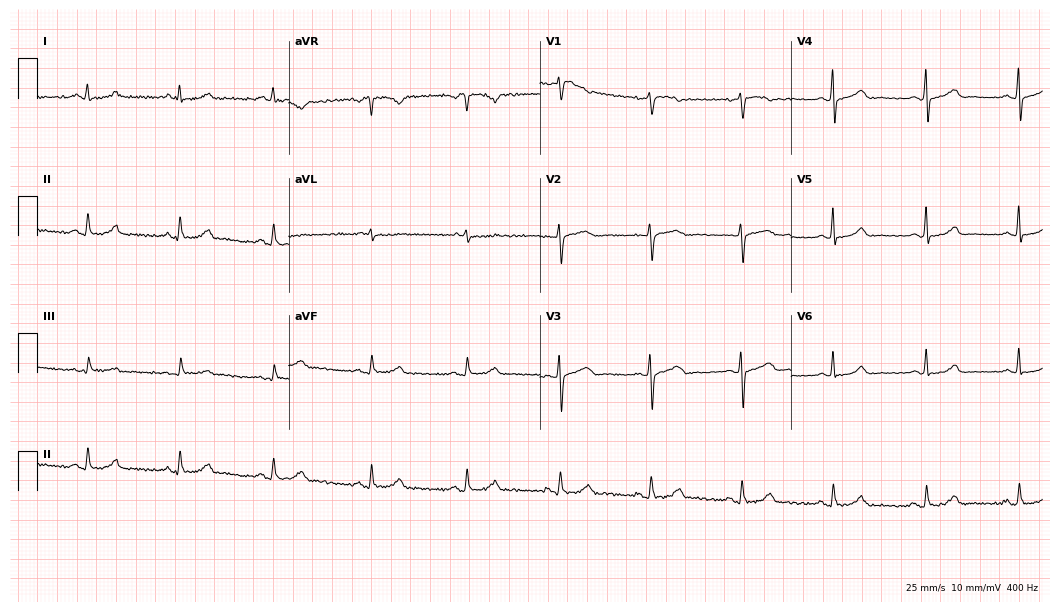
ECG (10.2-second recording at 400 Hz) — a woman, 57 years old. Labelled as a normal ECG.